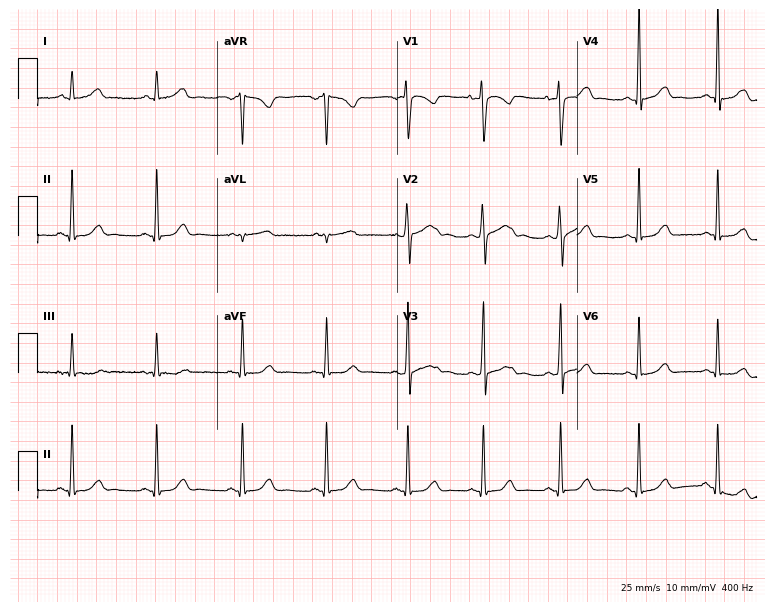
Resting 12-lead electrocardiogram (7.3-second recording at 400 Hz). Patient: a 36-year-old female. None of these six findings is recorded: first-degree AV block, right bundle branch block, left bundle branch block, sinus bradycardia, atrial fibrillation, sinus tachycardia. Only these six findings were labelled.